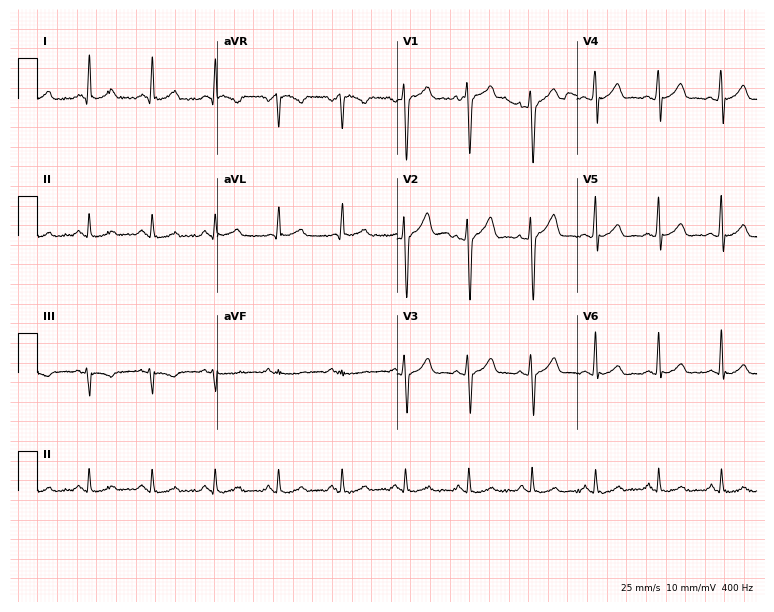
ECG — a man, 33 years old. Screened for six findings — first-degree AV block, right bundle branch block, left bundle branch block, sinus bradycardia, atrial fibrillation, sinus tachycardia — none is recorded. Findings outside these six are not listed.